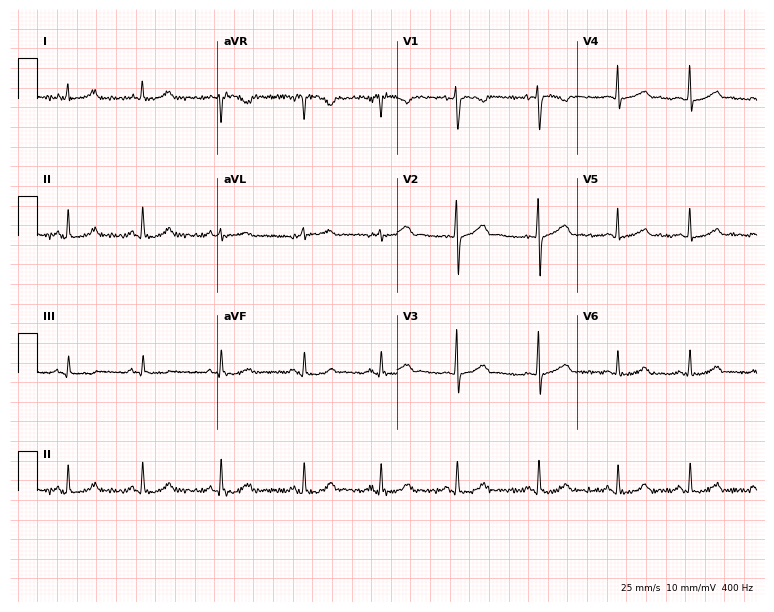
12-lead ECG from a 22-year-old female patient. Recorded interpretation: within normal limits.